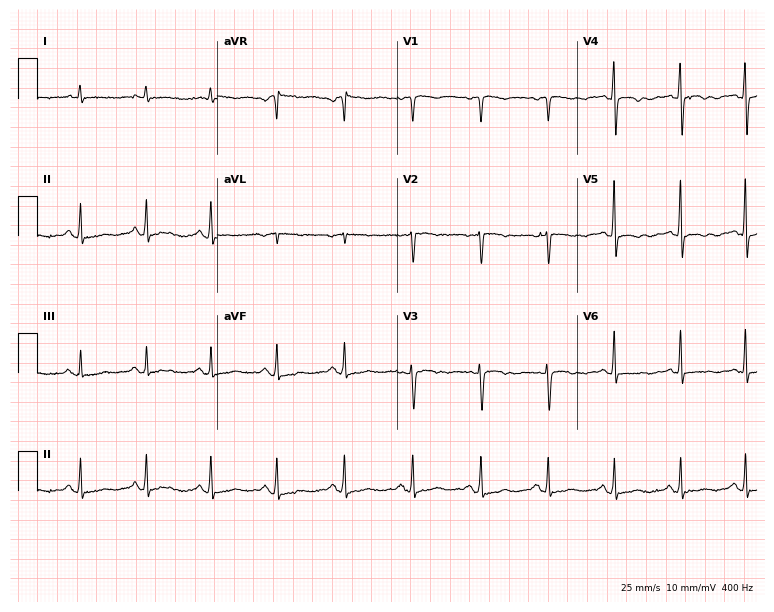
12-lead ECG (7.3-second recording at 400 Hz) from a woman, 51 years old. Labelled as a normal ECG.